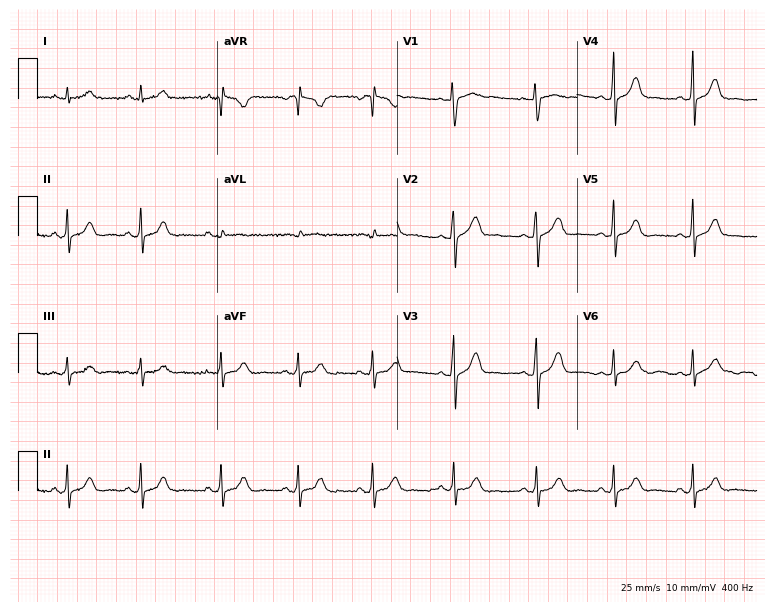
12-lead ECG from a 27-year-old woman. No first-degree AV block, right bundle branch block, left bundle branch block, sinus bradycardia, atrial fibrillation or sinus tachycardia recorded for this tracing.